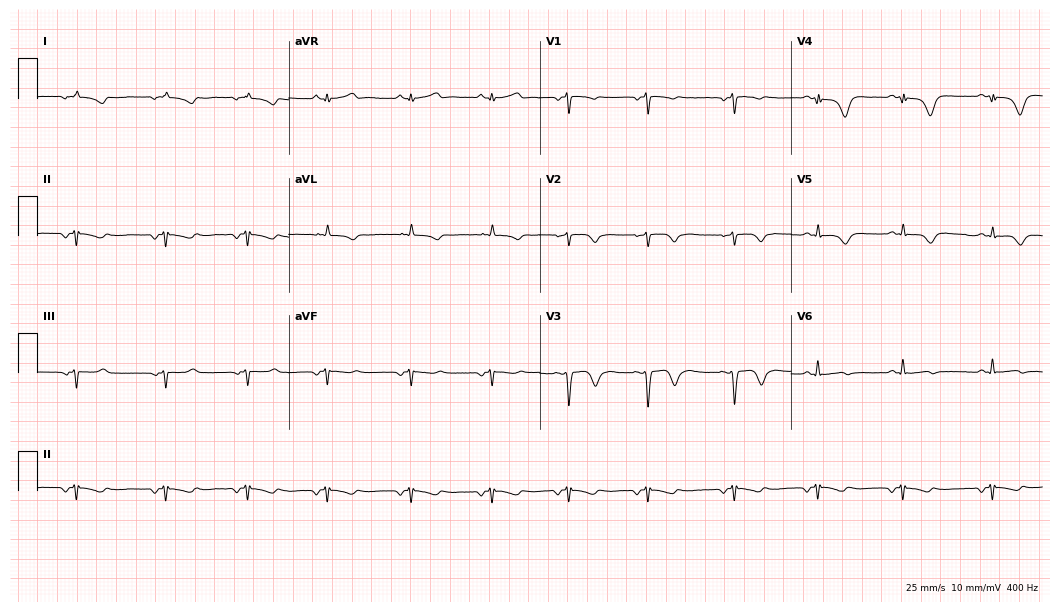
Resting 12-lead electrocardiogram. Patient: a 38-year-old woman. None of these six findings is recorded: first-degree AV block, right bundle branch block, left bundle branch block, sinus bradycardia, atrial fibrillation, sinus tachycardia. Findings outside these six are not listed.